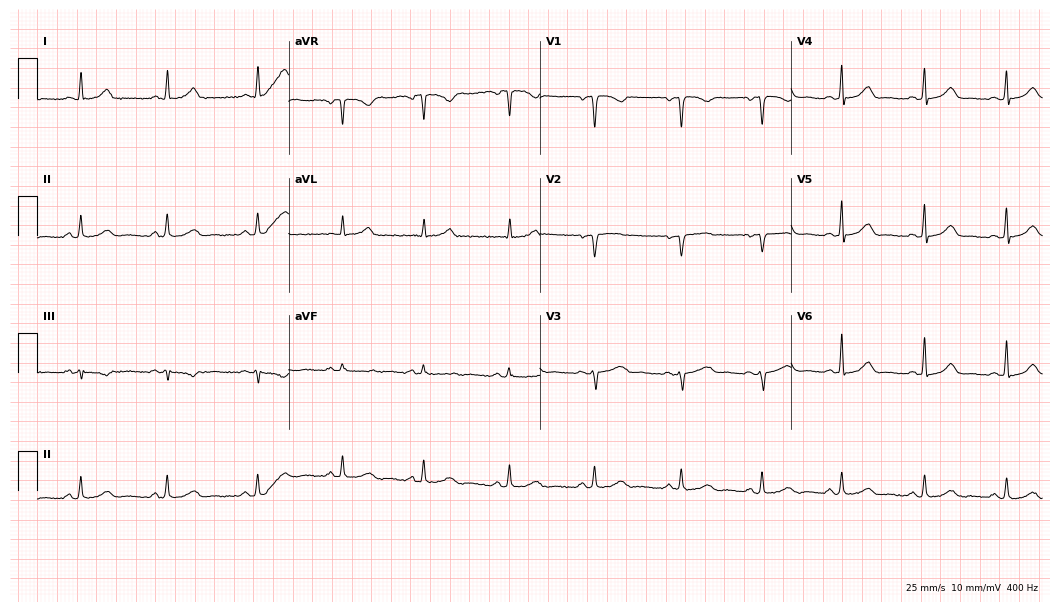
Standard 12-lead ECG recorded from a 39-year-old female. Read as a normal ECG.